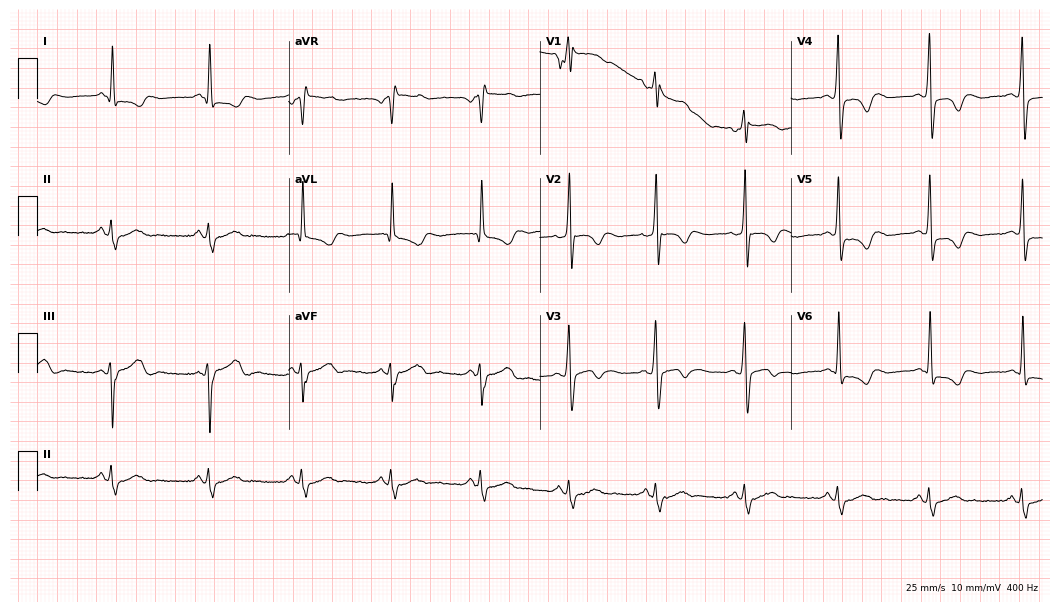
Resting 12-lead electrocardiogram (10.2-second recording at 400 Hz). Patient: a male, 60 years old. None of these six findings is recorded: first-degree AV block, right bundle branch block, left bundle branch block, sinus bradycardia, atrial fibrillation, sinus tachycardia. Findings outside these six are not listed.